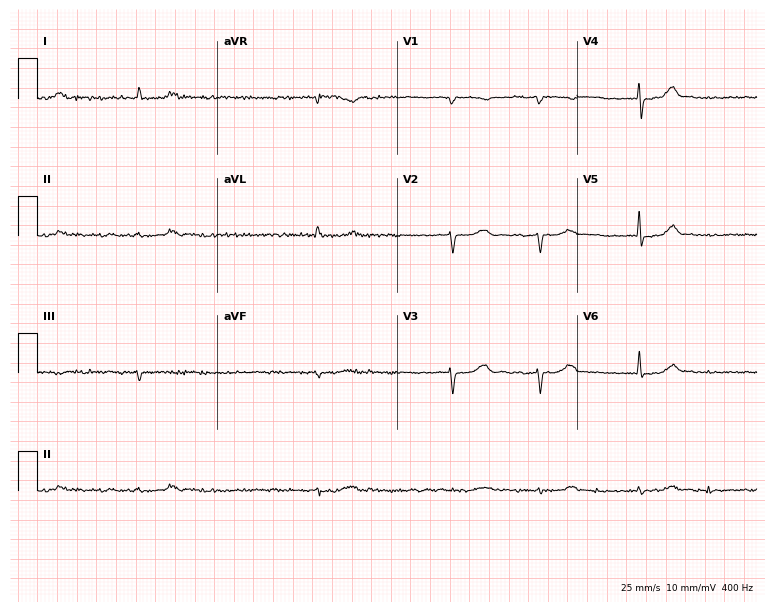
12-lead ECG from a male, 88 years old (7.3-second recording at 400 Hz). Shows atrial fibrillation.